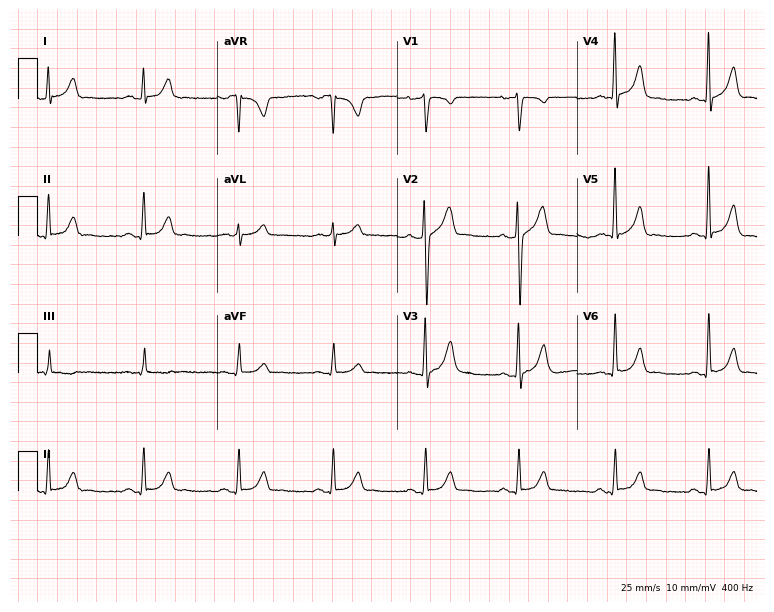
Electrocardiogram (7.3-second recording at 400 Hz), a male, 37 years old. Overall reading on record: normal ECG.